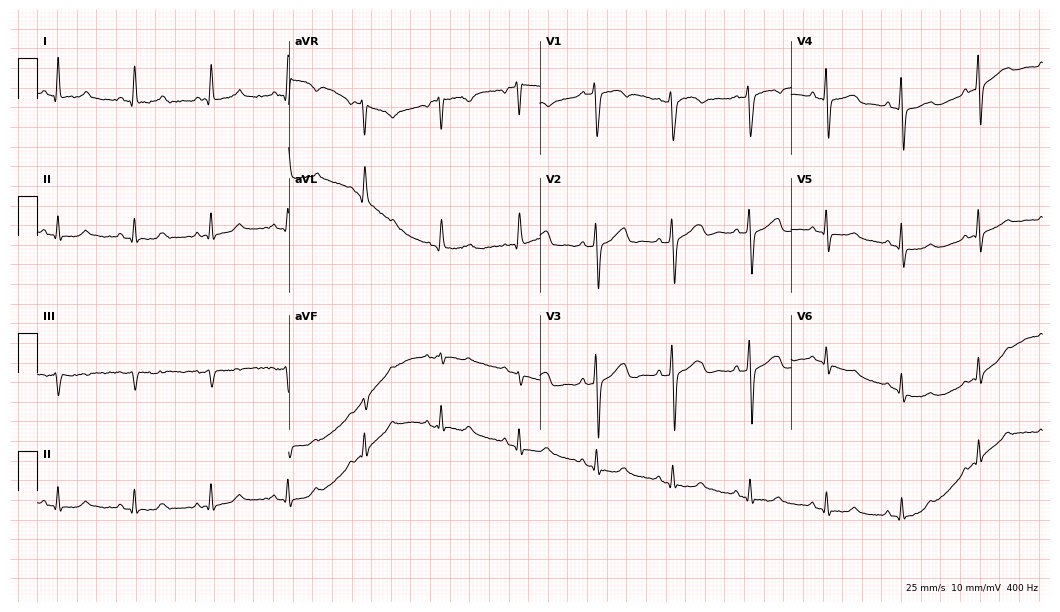
Standard 12-lead ECG recorded from a woman, 61 years old (10.2-second recording at 400 Hz). Read as a normal ECG.